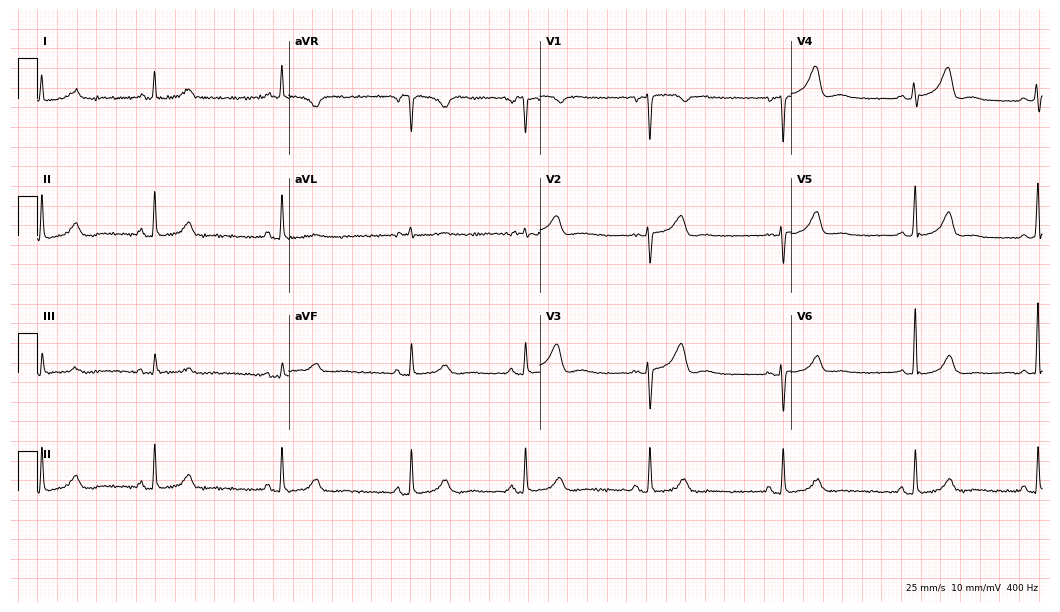
Resting 12-lead electrocardiogram. Patient: a female, 42 years old. The tracing shows sinus bradycardia (a sinus rate of 50 beats per minute or less).